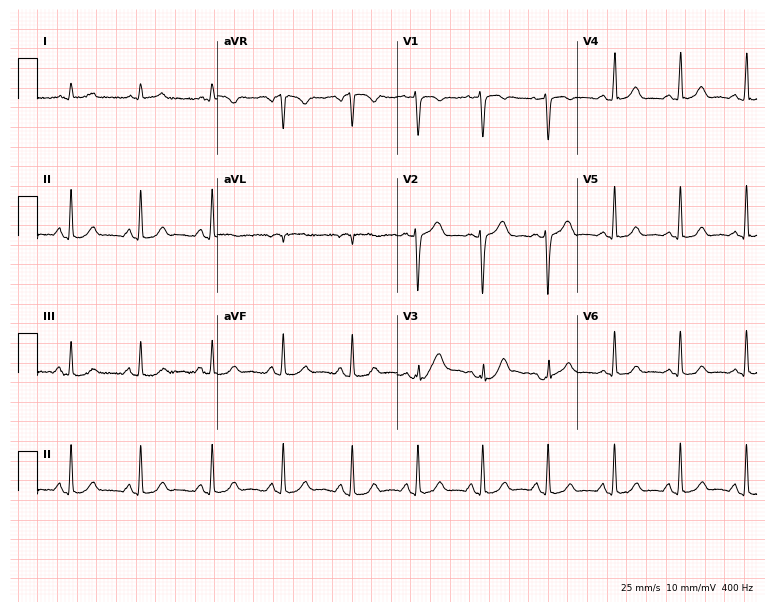
12-lead ECG from a 32-year-old female patient. Screened for six findings — first-degree AV block, right bundle branch block, left bundle branch block, sinus bradycardia, atrial fibrillation, sinus tachycardia — none is recorded. Other findings, if any, are not listed.